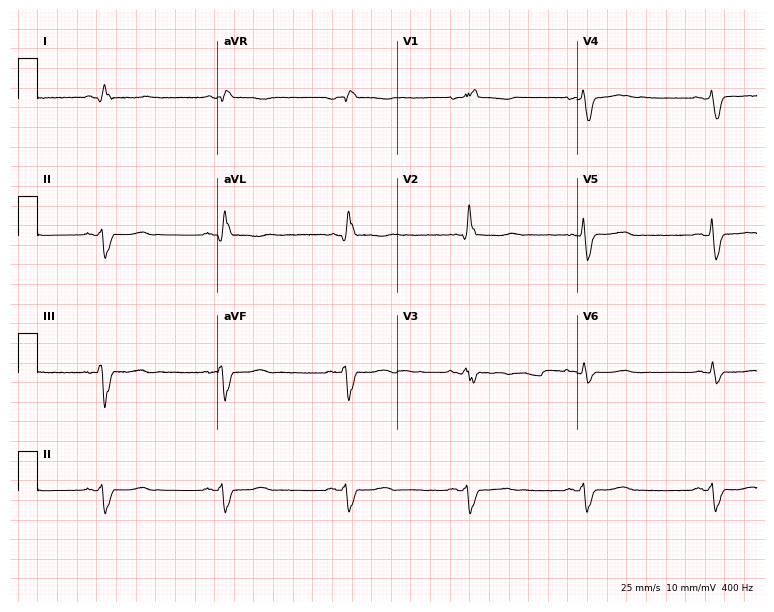
Resting 12-lead electrocardiogram. Patient: a 53-year-old woman. The tracing shows right bundle branch block (RBBB), sinus bradycardia (a sinus rate of 50 beats per minute or less).